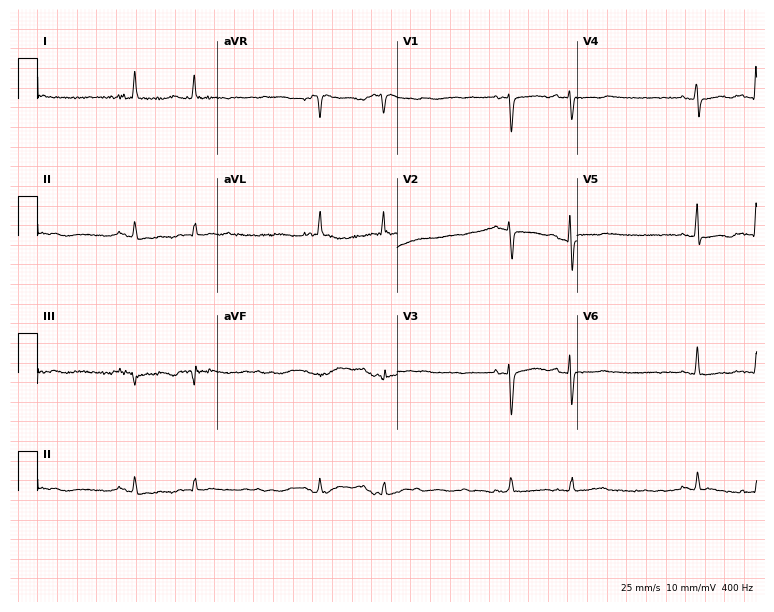
Electrocardiogram, a woman, 73 years old. Of the six screened findings (first-degree AV block, right bundle branch block (RBBB), left bundle branch block (LBBB), sinus bradycardia, atrial fibrillation (AF), sinus tachycardia), none is recorded. Findings outside these six are not listed.